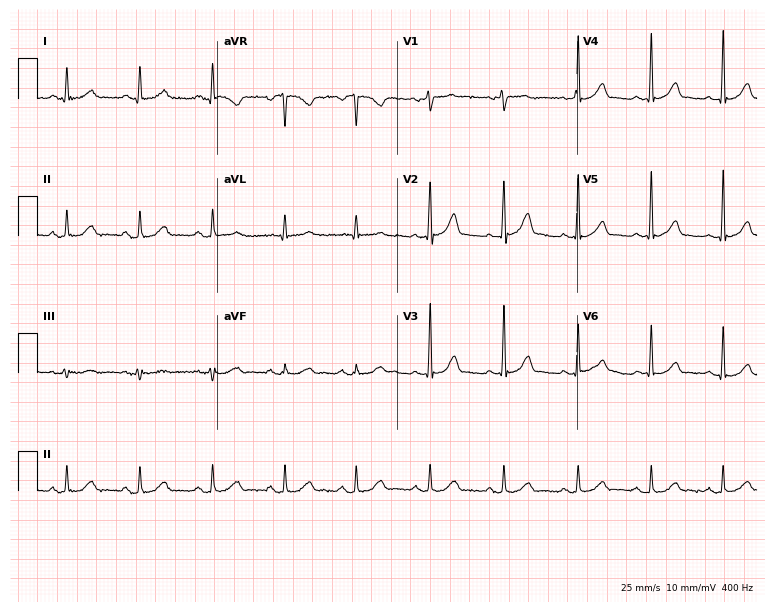
Standard 12-lead ECG recorded from a male patient, 44 years old. None of these six findings is recorded: first-degree AV block, right bundle branch block, left bundle branch block, sinus bradycardia, atrial fibrillation, sinus tachycardia.